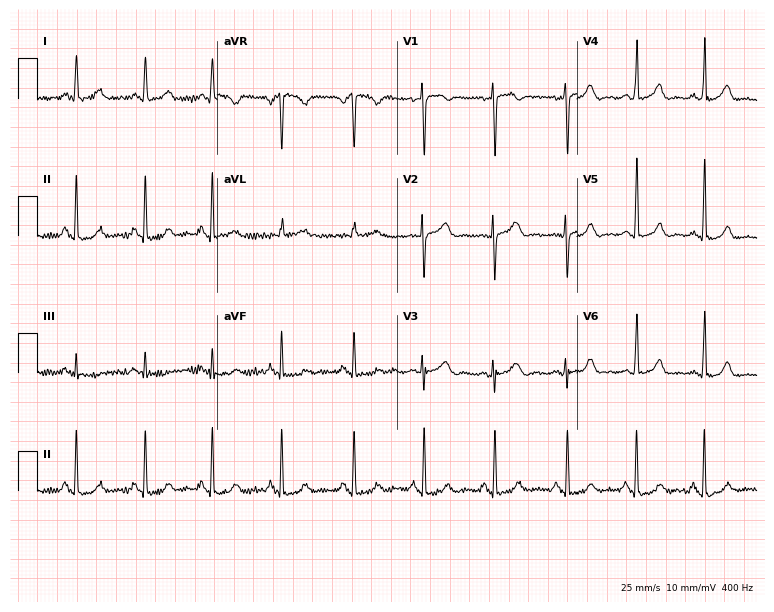
12-lead ECG from a 37-year-old female patient. Screened for six findings — first-degree AV block, right bundle branch block, left bundle branch block, sinus bradycardia, atrial fibrillation, sinus tachycardia — none is recorded.